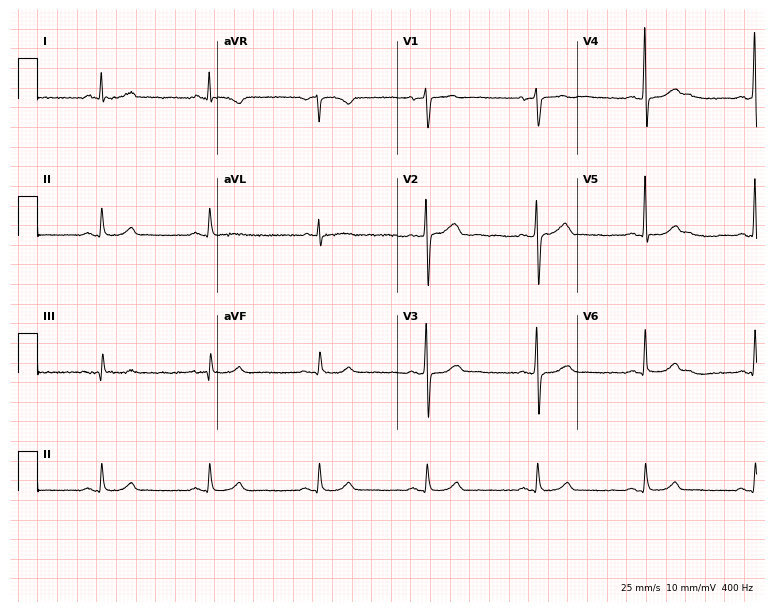
Standard 12-lead ECG recorded from a 63-year-old man (7.3-second recording at 400 Hz). Read as a normal ECG.